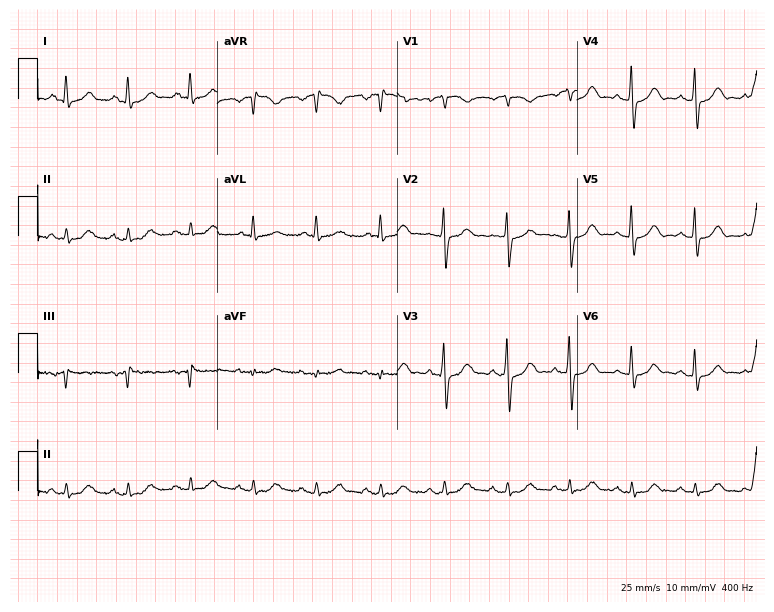
Standard 12-lead ECG recorded from a male, 64 years old (7.3-second recording at 400 Hz). Read as a normal ECG.